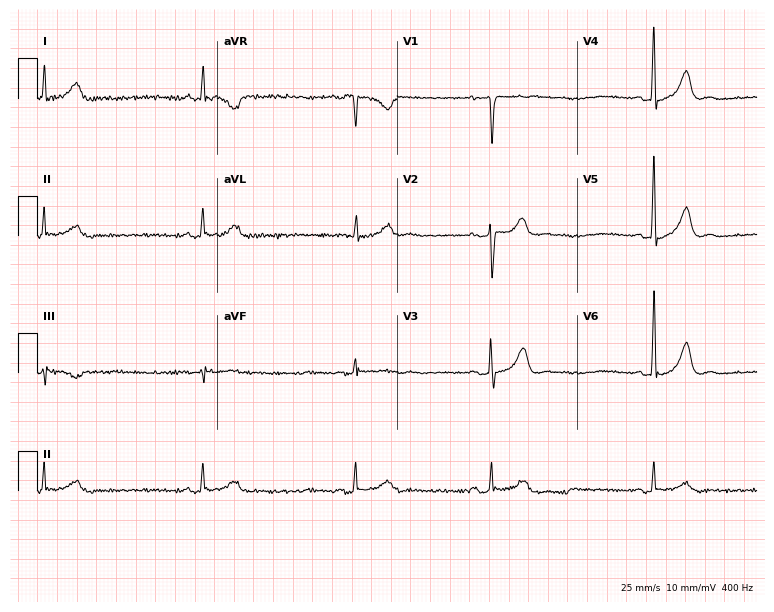
12-lead ECG from a 41-year-old male (7.3-second recording at 400 Hz). Shows sinus bradycardia (a sinus rate of 50 beats per minute or less).